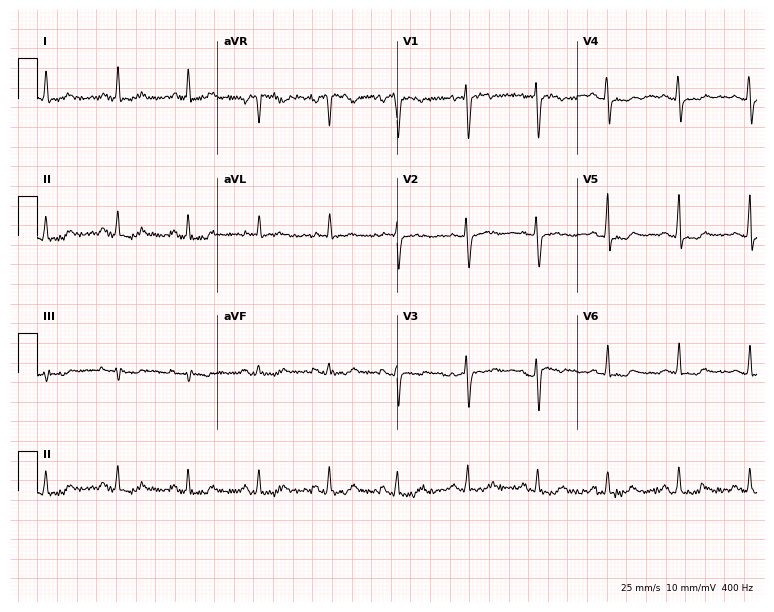
12-lead ECG from a female, 53 years old (7.3-second recording at 400 Hz). No first-degree AV block, right bundle branch block (RBBB), left bundle branch block (LBBB), sinus bradycardia, atrial fibrillation (AF) or sinus tachycardia recorded for this tracing. Only these six findings were labelled.